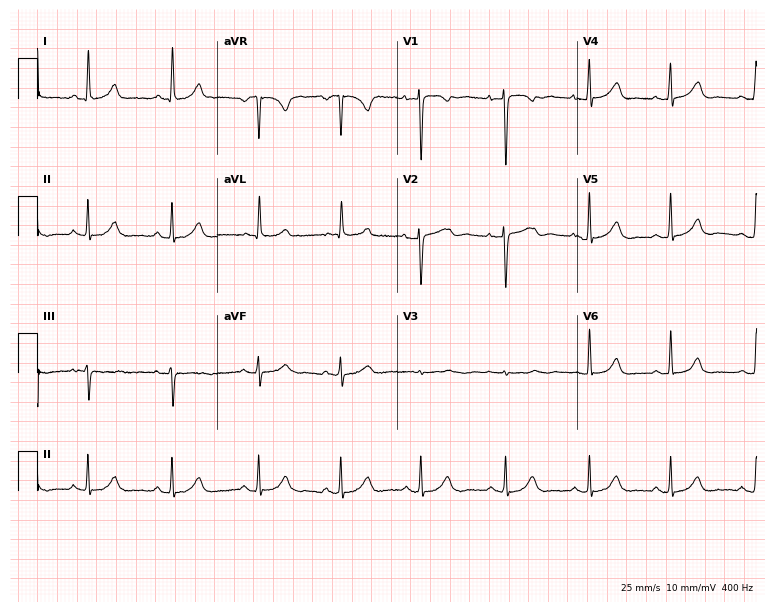
Electrocardiogram, a female patient, 30 years old. Overall reading on record: normal ECG.